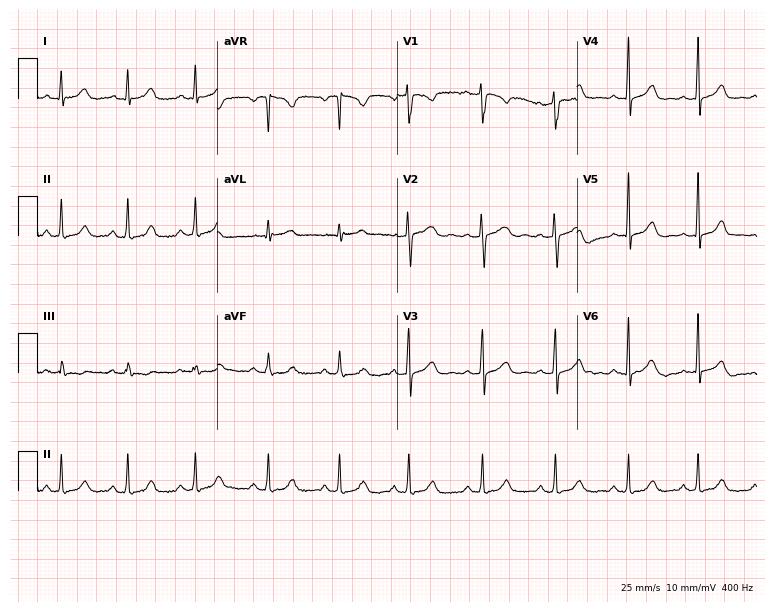
ECG (7.3-second recording at 400 Hz) — a 30-year-old woman. Screened for six findings — first-degree AV block, right bundle branch block, left bundle branch block, sinus bradycardia, atrial fibrillation, sinus tachycardia — none is recorded. Other findings, if any, are not listed.